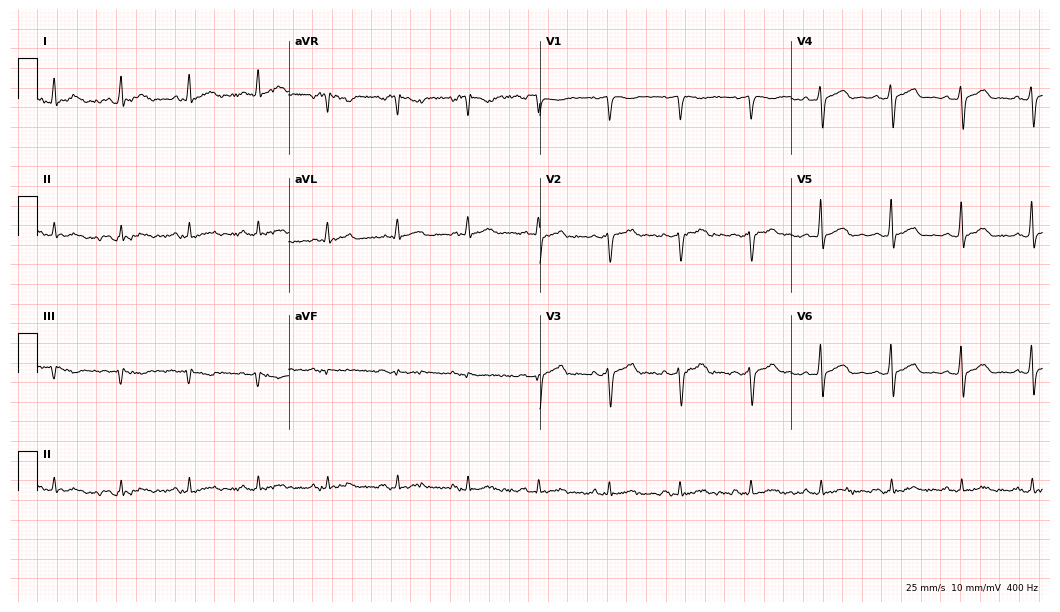
Resting 12-lead electrocardiogram (10.2-second recording at 400 Hz). Patient: a male, 42 years old. None of these six findings is recorded: first-degree AV block, right bundle branch block (RBBB), left bundle branch block (LBBB), sinus bradycardia, atrial fibrillation (AF), sinus tachycardia. Other findings, if any, are not listed.